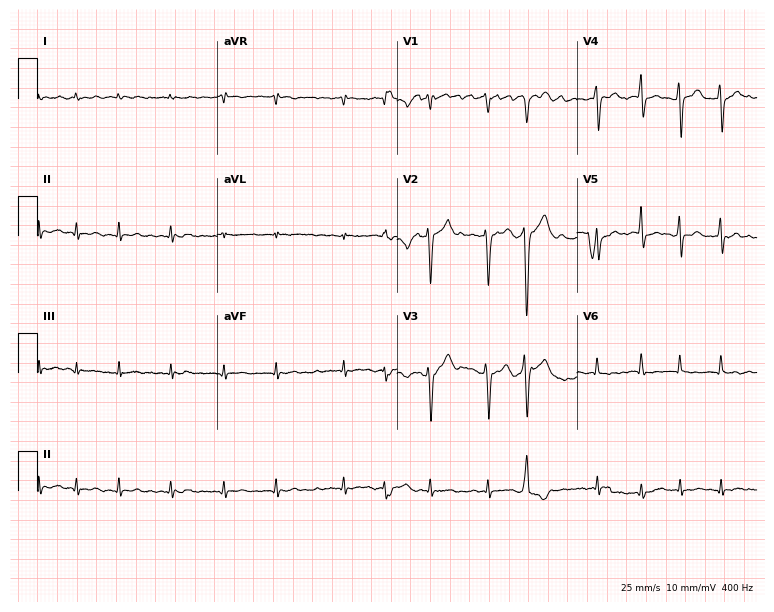
Standard 12-lead ECG recorded from a 61-year-old man. The tracing shows atrial fibrillation (AF).